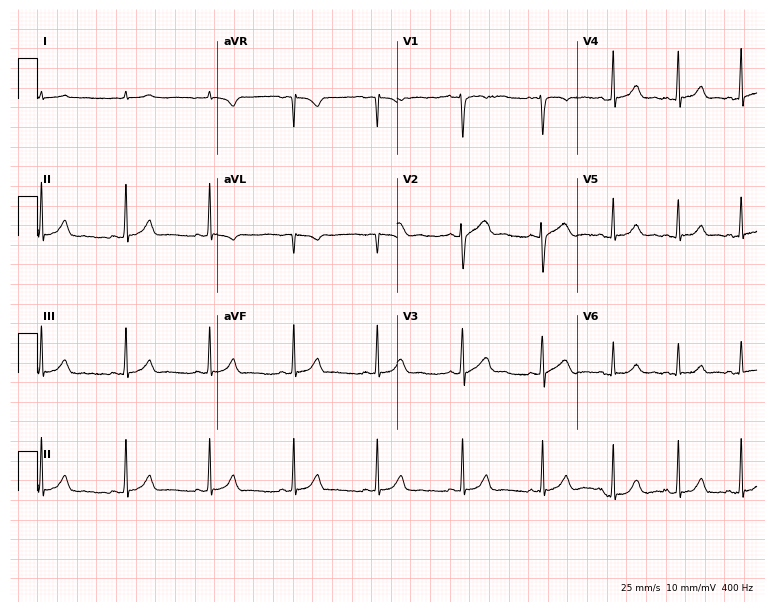
12-lead ECG from a female patient, 21 years old. No first-degree AV block, right bundle branch block (RBBB), left bundle branch block (LBBB), sinus bradycardia, atrial fibrillation (AF) or sinus tachycardia recorded for this tracing. Only these six findings were labelled.